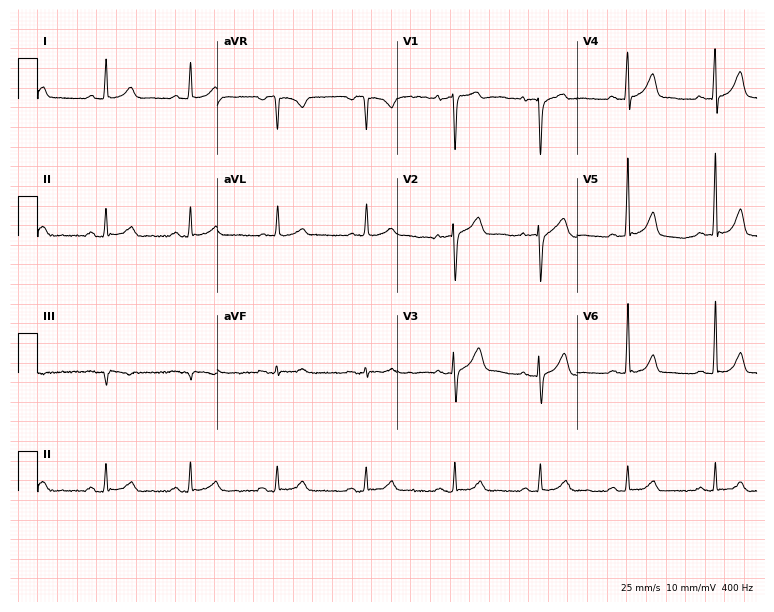
ECG (7.3-second recording at 400 Hz) — a man, 53 years old. Labelled as a normal ECG.